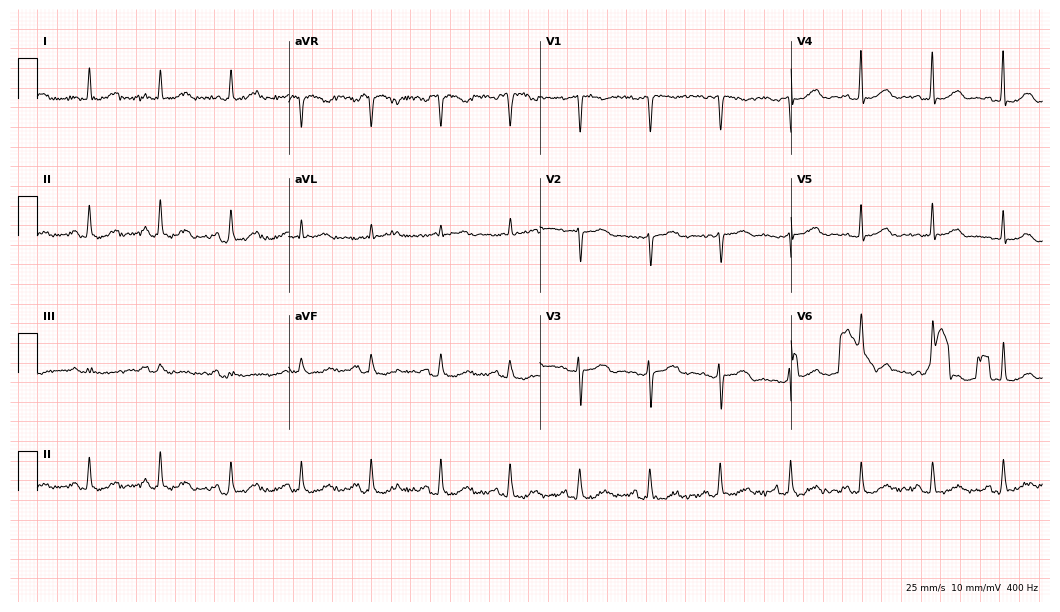
Standard 12-lead ECG recorded from a 79-year-old female patient. None of these six findings is recorded: first-degree AV block, right bundle branch block (RBBB), left bundle branch block (LBBB), sinus bradycardia, atrial fibrillation (AF), sinus tachycardia.